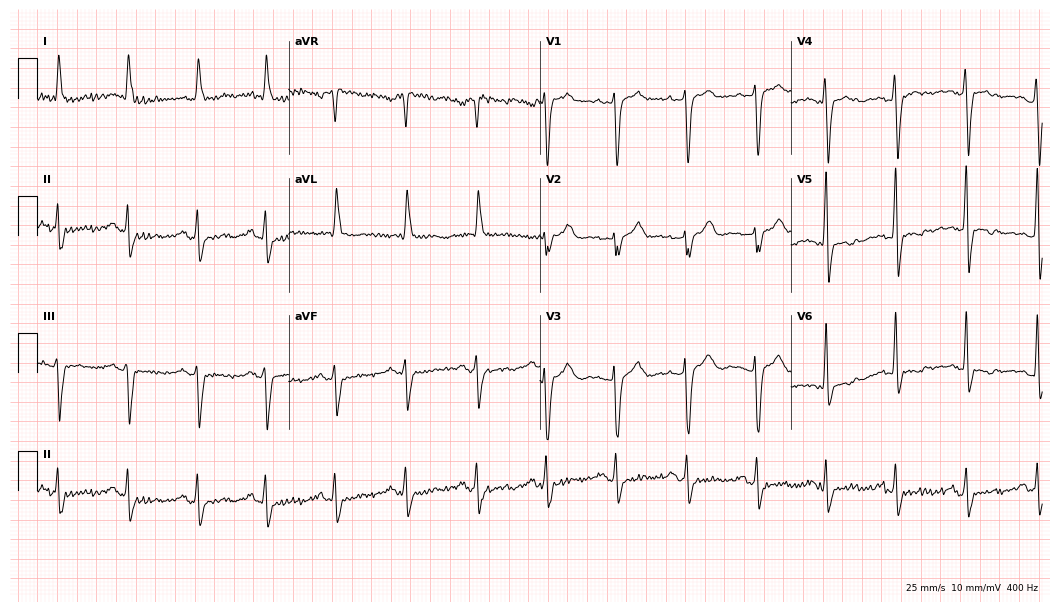
12-lead ECG from a male patient, 85 years old. Findings include left bundle branch block.